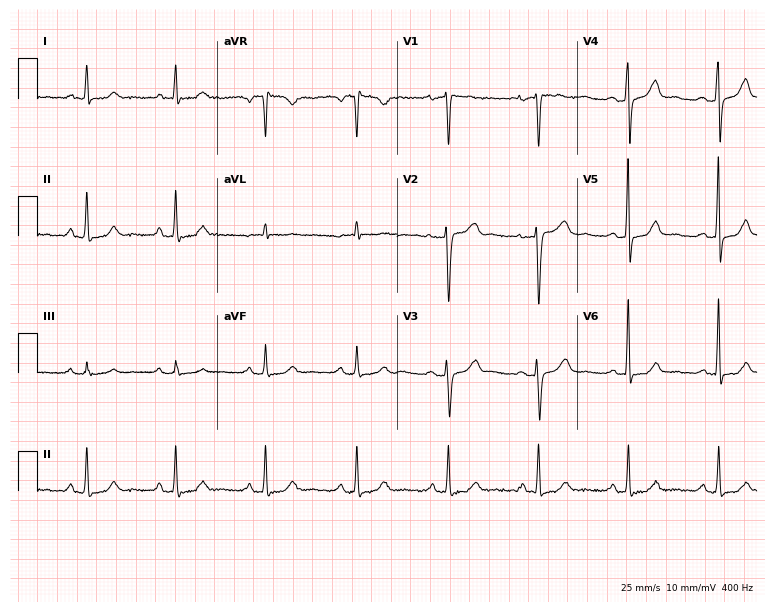
Electrocardiogram, a female, 42 years old. Overall reading on record: normal ECG.